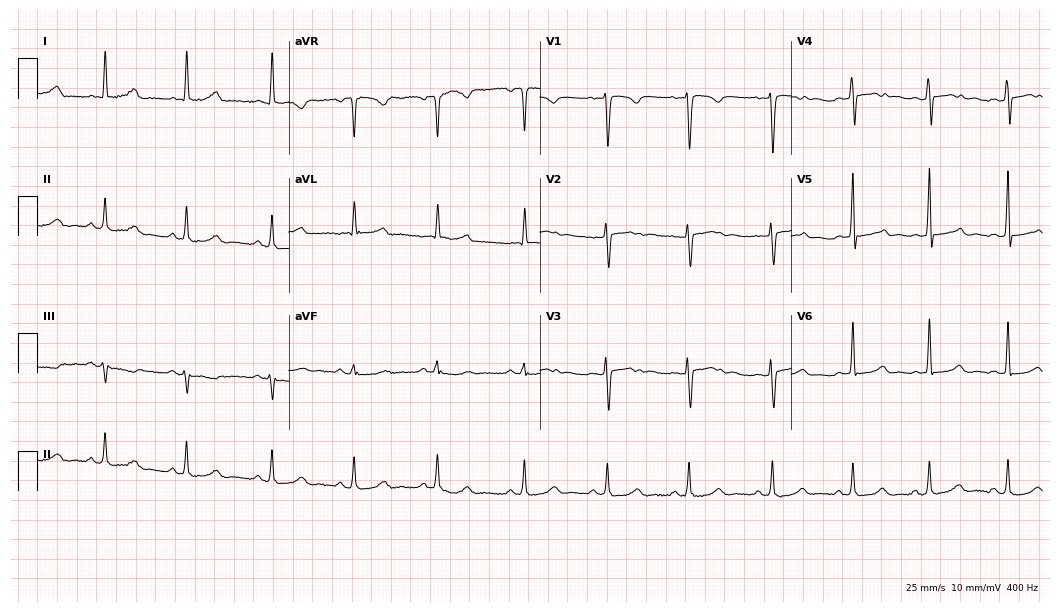
Electrocardiogram (10.2-second recording at 400 Hz), a female patient, 43 years old. Overall reading on record: normal ECG.